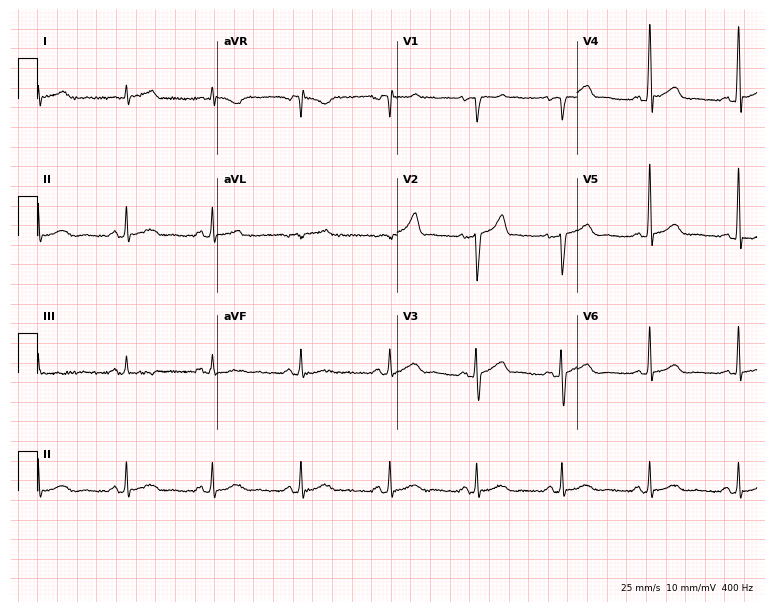
Electrocardiogram, a 41-year-old male patient. Of the six screened findings (first-degree AV block, right bundle branch block, left bundle branch block, sinus bradycardia, atrial fibrillation, sinus tachycardia), none is recorded. Findings outside these six are not listed.